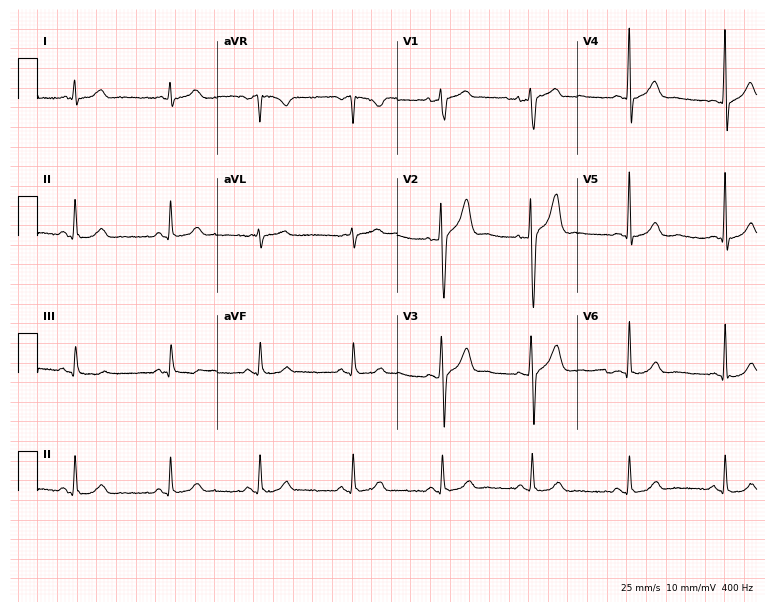
12-lead ECG from a male patient, 52 years old. Recorded interpretation: within normal limits.